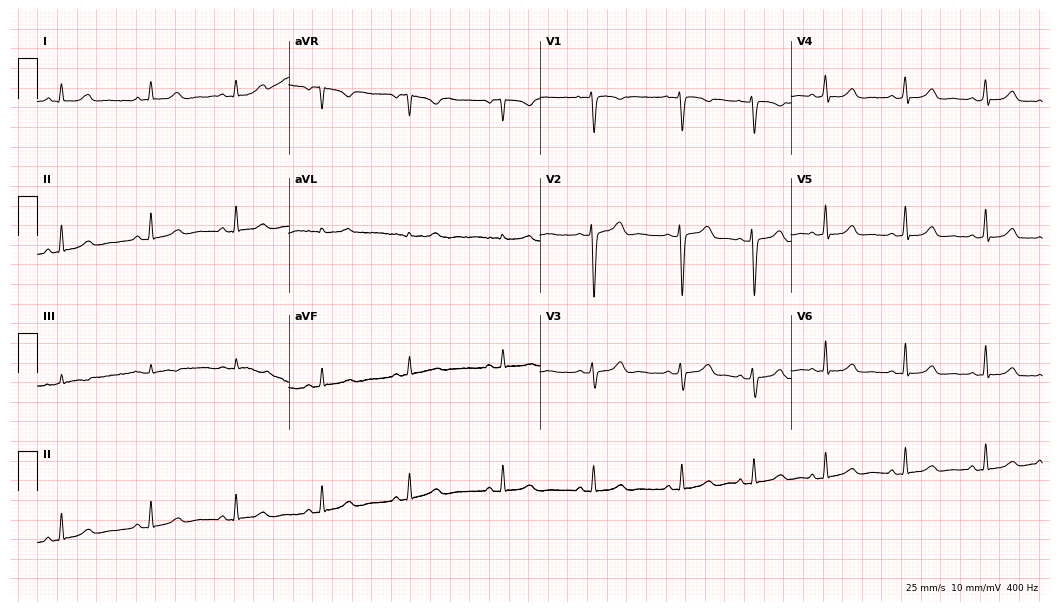
12-lead ECG from a woman, 20 years old (10.2-second recording at 400 Hz). Recorded interpretation: within normal limits.